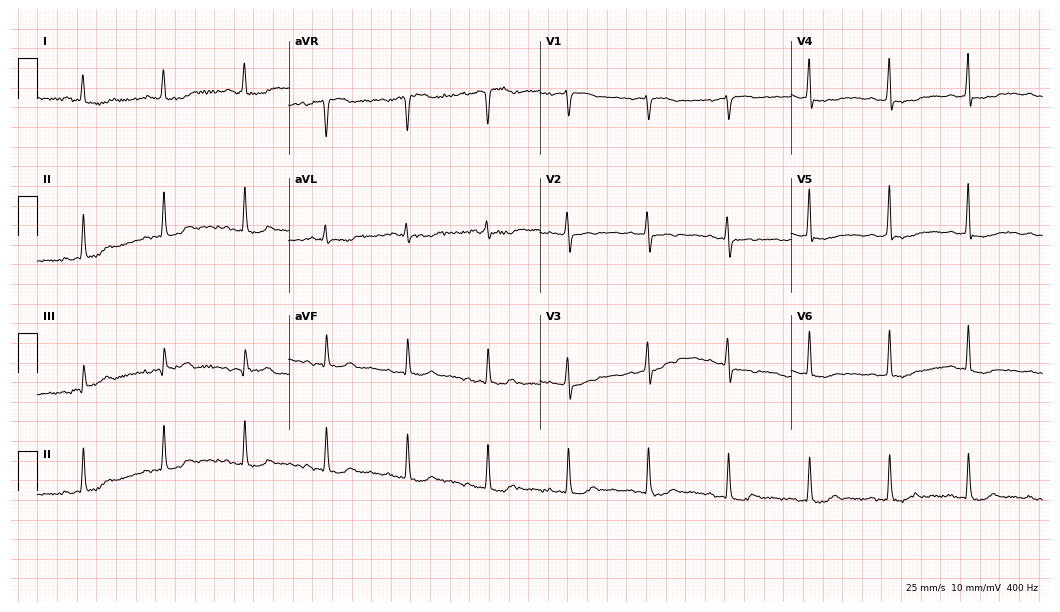
Electrocardiogram (10.2-second recording at 400 Hz), a female, 70 years old. Of the six screened findings (first-degree AV block, right bundle branch block, left bundle branch block, sinus bradycardia, atrial fibrillation, sinus tachycardia), none is recorded. Other findings, if any, are not listed.